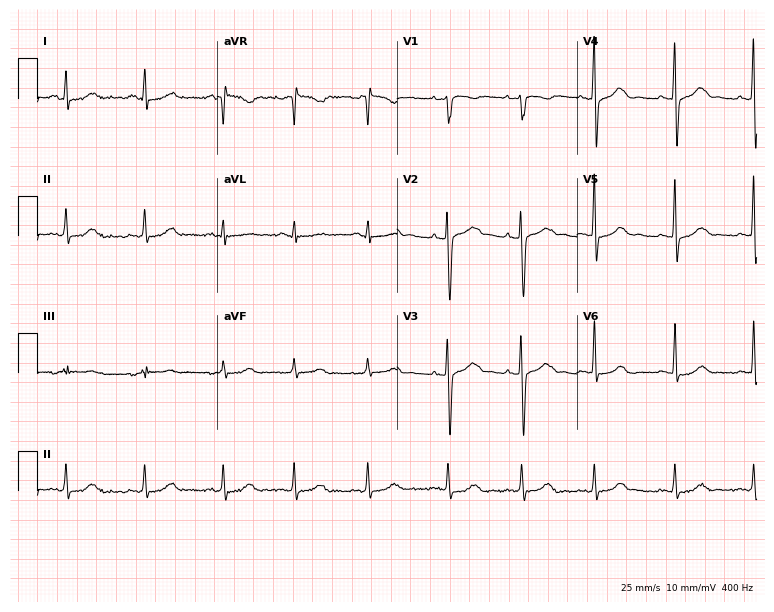
Standard 12-lead ECG recorded from a 22-year-old woman. Read as a normal ECG.